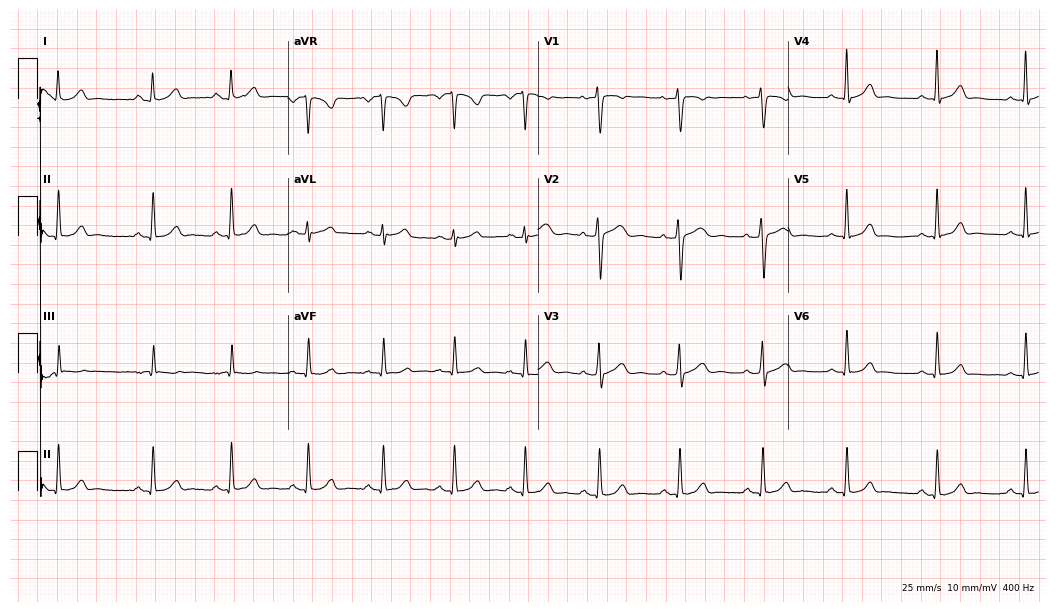
Resting 12-lead electrocardiogram (10.2-second recording at 400 Hz). Patient: a 29-year-old female. Read as a normal ECG.